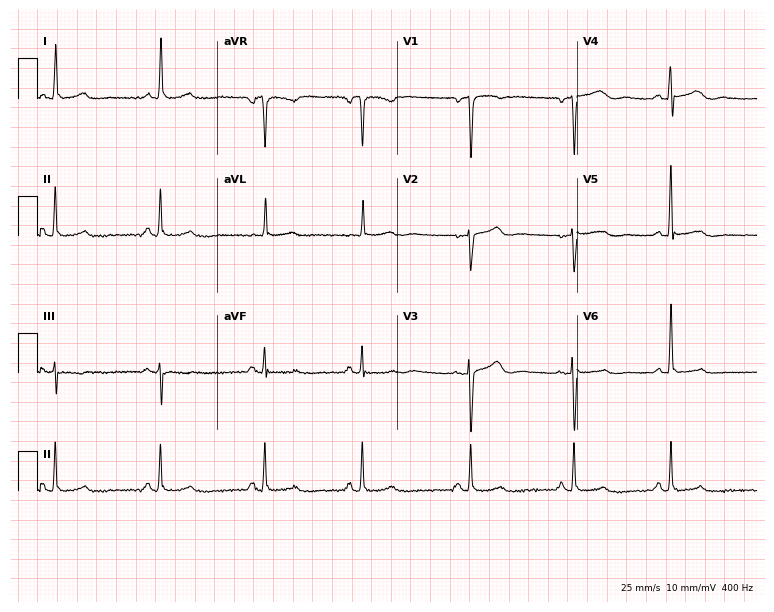
ECG — a female, 53 years old. Labelled as a normal ECG.